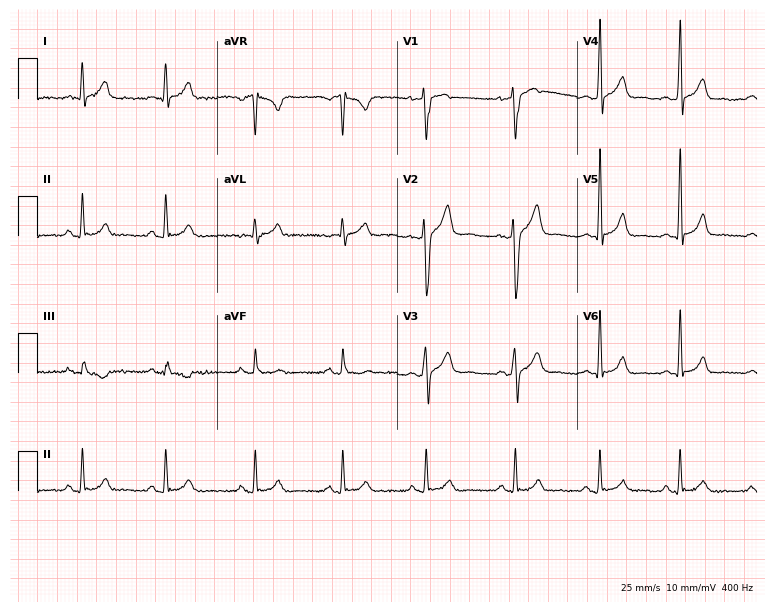
Standard 12-lead ECG recorded from a 29-year-old male. Read as a normal ECG.